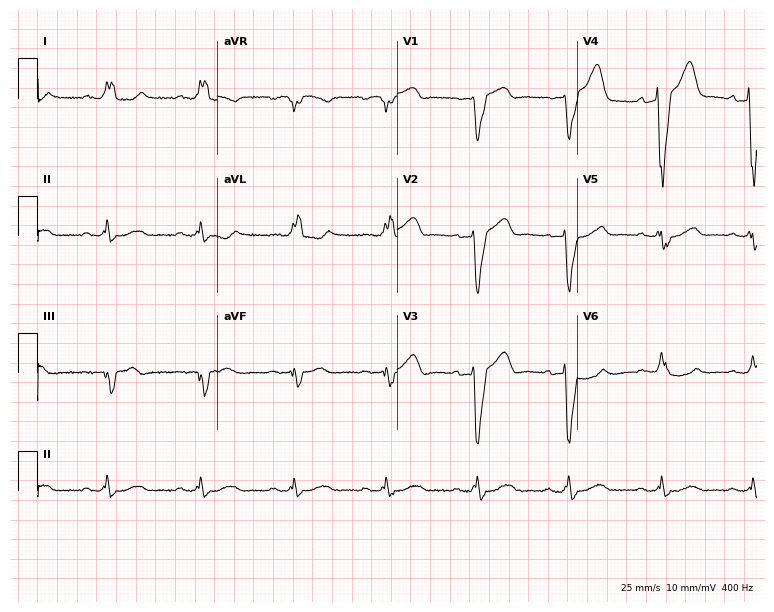
12-lead ECG from a 72-year-old female. Shows left bundle branch block (LBBB).